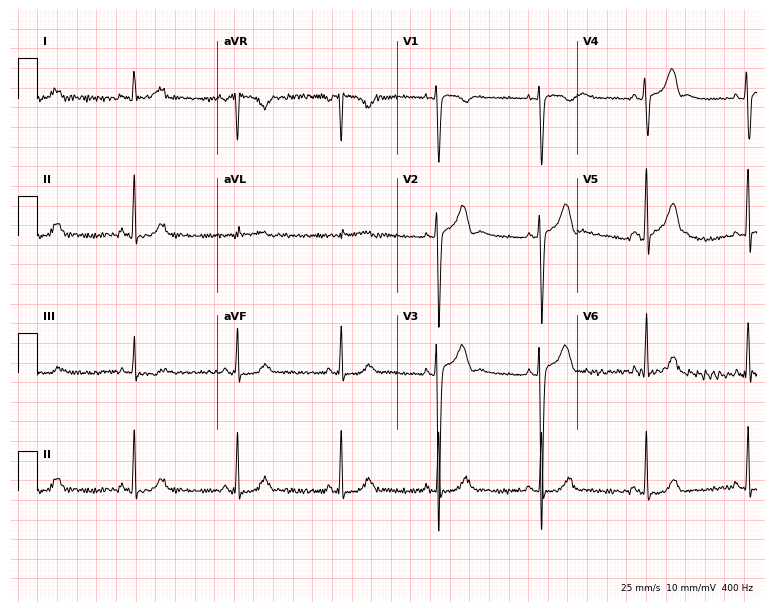
12-lead ECG from a 25-year-old male patient (7.3-second recording at 400 Hz). Recorded interpretation: within normal limits.